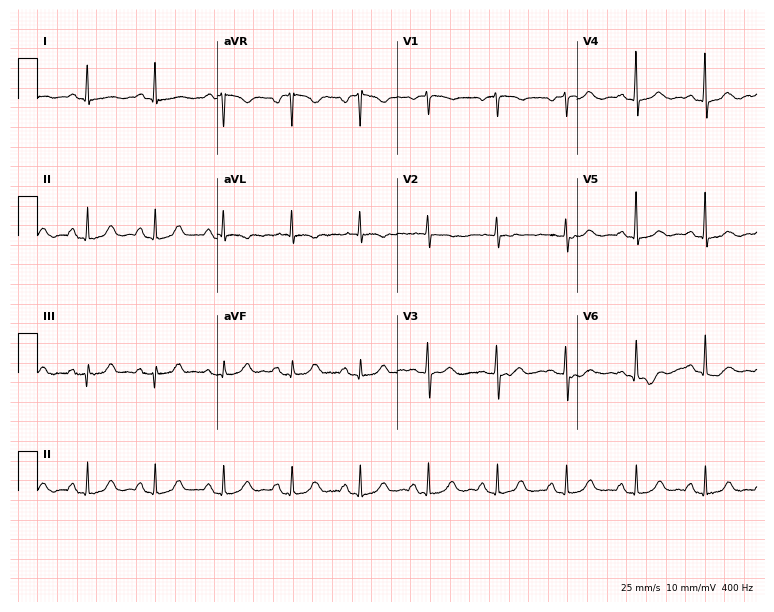
Electrocardiogram, a 79-year-old female. Overall reading on record: normal ECG.